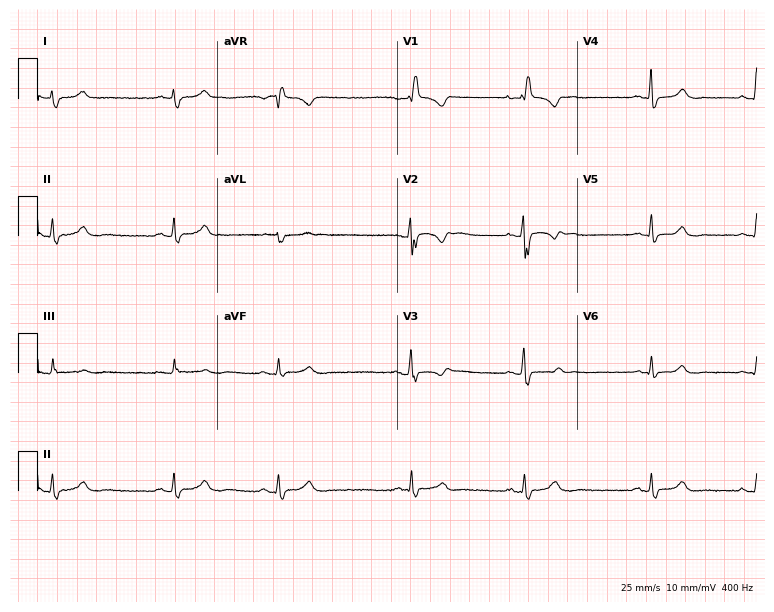
Electrocardiogram (7.3-second recording at 400 Hz), a 43-year-old female. Interpretation includes sinus bradycardia (a sinus rate of 50 beats per minute or less).